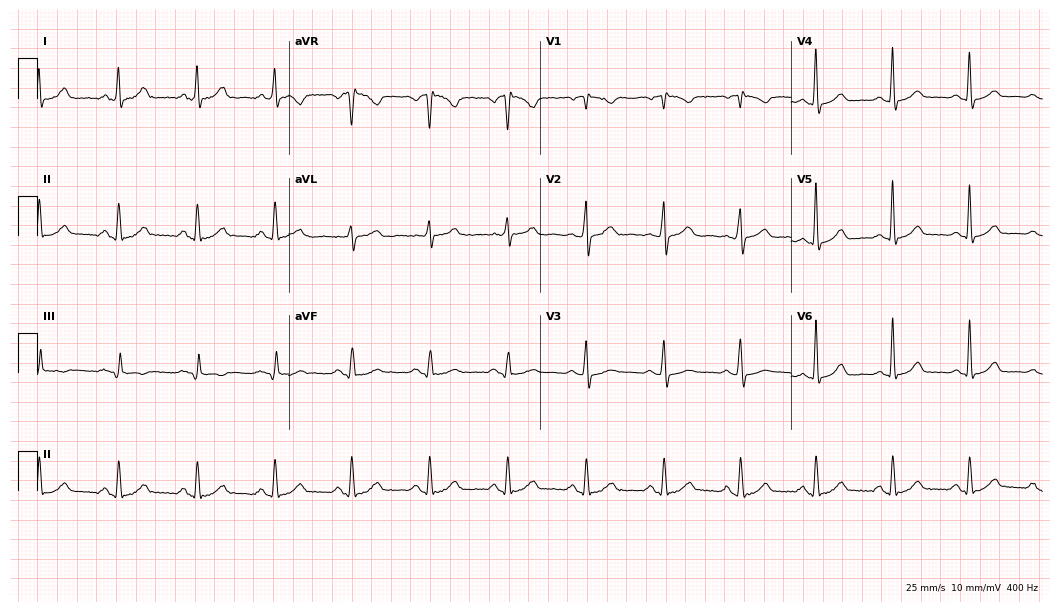
Electrocardiogram, a 67-year-old woman. Overall reading on record: normal ECG.